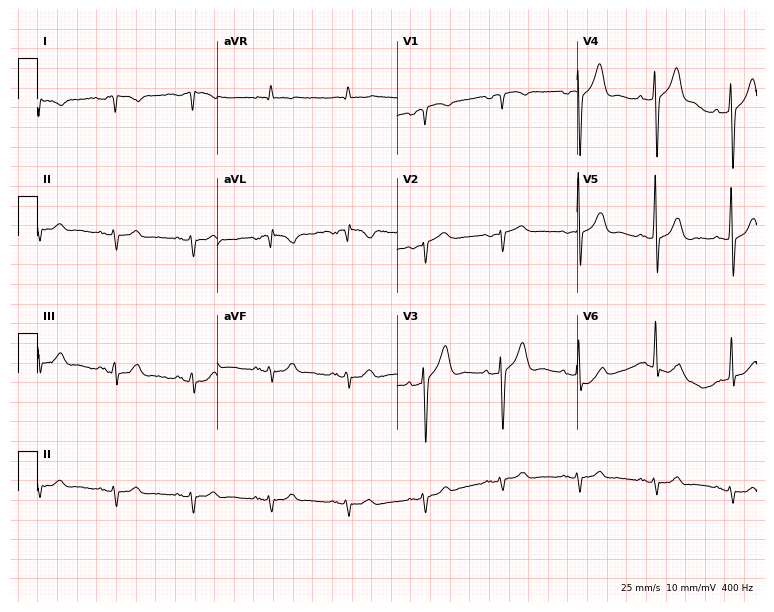
12-lead ECG from a man, 76 years old. No first-degree AV block, right bundle branch block, left bundle branch block, sinus bradycardia, atrial fibrillation or sinus tachycardia recorded for this tracing.